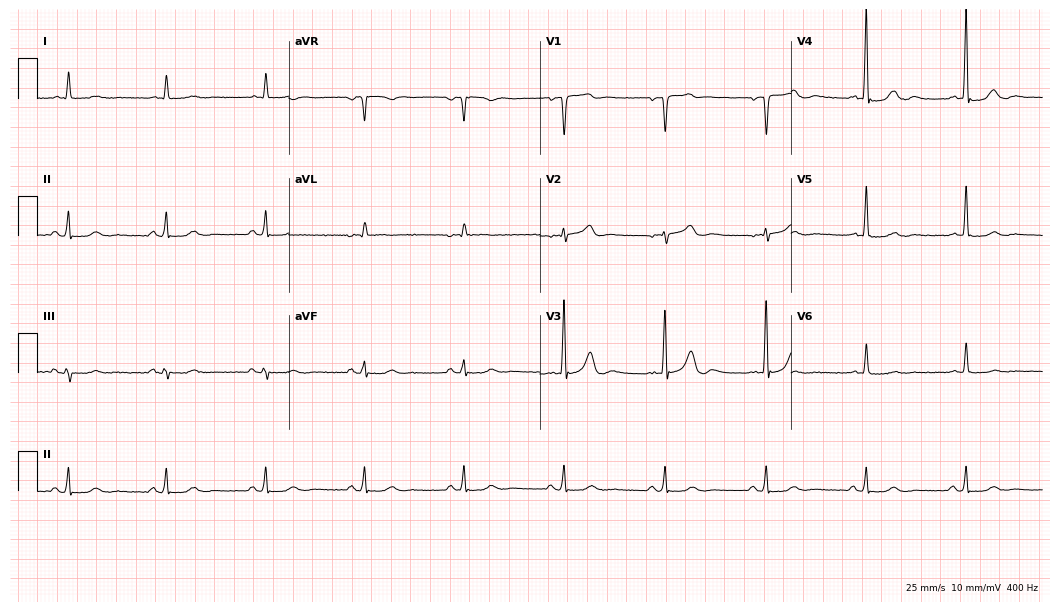
12-lead ECG from a 77-year-old man. Labelled as a normal ECG.